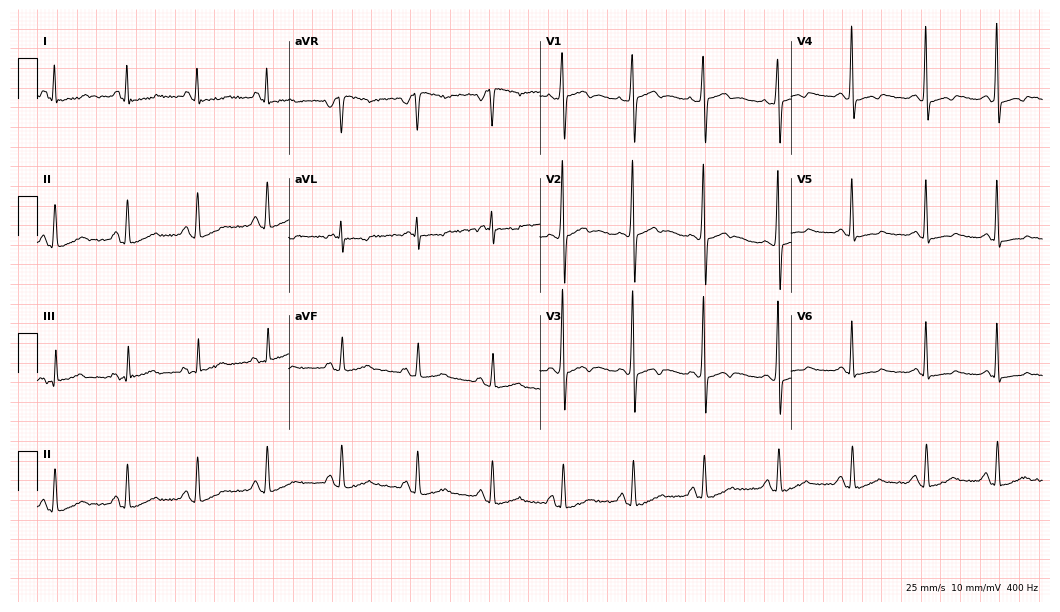
Electrocardiogram, a 50-year-old female. Of the six screened findings (first-degree AV block, right bundle branch block, left bundle branch block, sinus bradycardia, atrial fibrillation, sinus tachycardia), none is recorded. Findings outside these six are not listed.